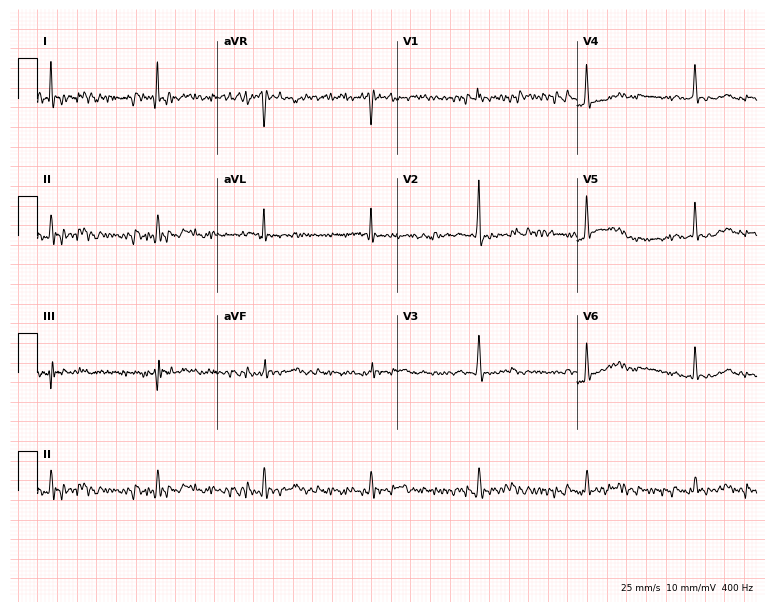
Electrocardiogram, a male, 81 years old. Of the six screened findings (first-degree AV block, right bundle branch block (RBBB), left bundle branch block (LBBB), sinus bradycardia, atrial fibrillation (AF), sinus tachycardia), none is recorded. Findings outside these six are not listed.